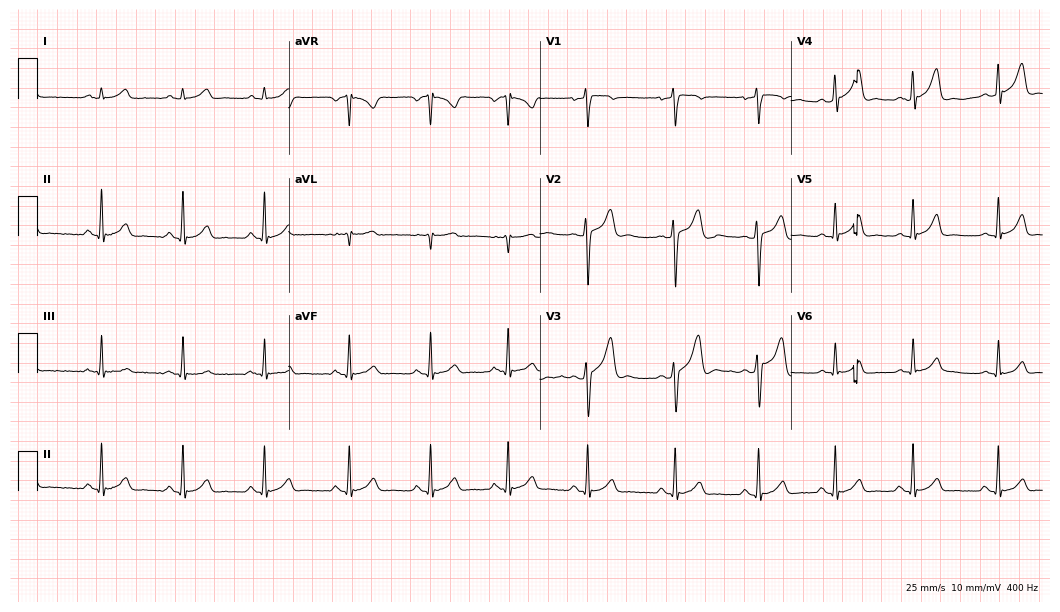
Electrocardiogram (10.2-second recording at 400 Hz), a male patient, 17 years old. Overall reading on record: normal ECG.